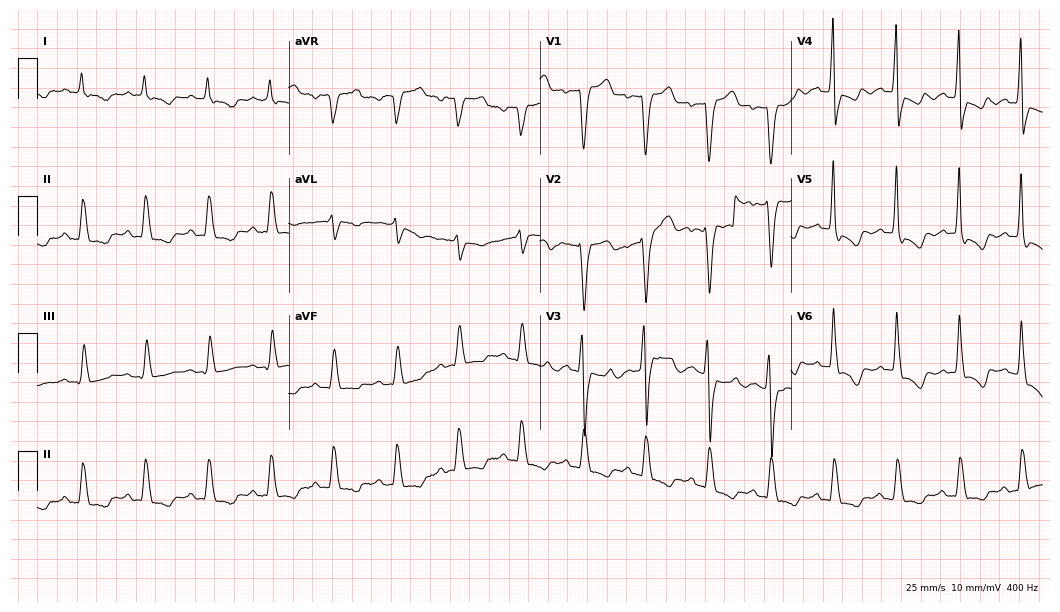
ECG — a 77-year-old male patient. Screened for six findings — first-degree AV block, right bundle branch block (RBBB), left bundle branch block (LBBB), sinus bradycardia, atrial fibrillation (AF), sinus tachycardia — none is recorded. Findings outside these six are not listed.